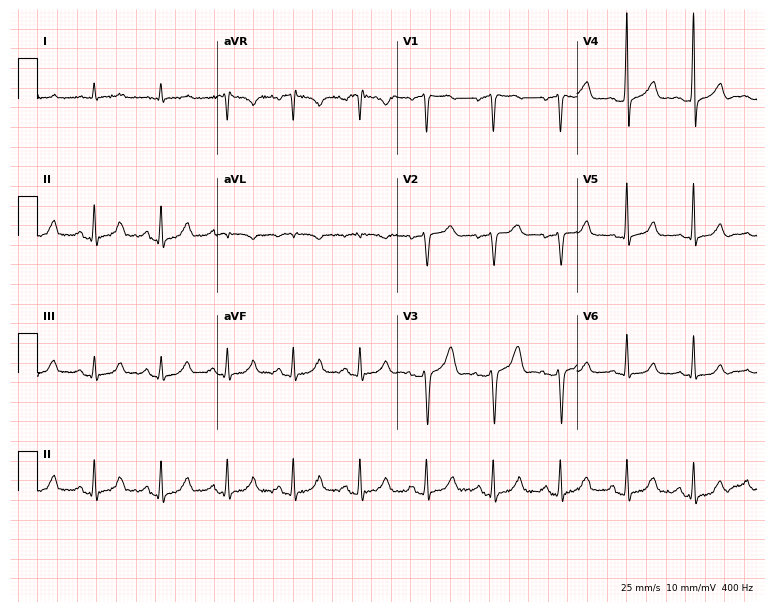
Electrocardiogram, a 54-year-old male. Of the six screened findings (first-degree AV block, right bundle branch block, left bundle branch block, sinus bradycardia, atrial fibrillation, sinus tachycardia), none is recorded. Findings outside these six are not listed.